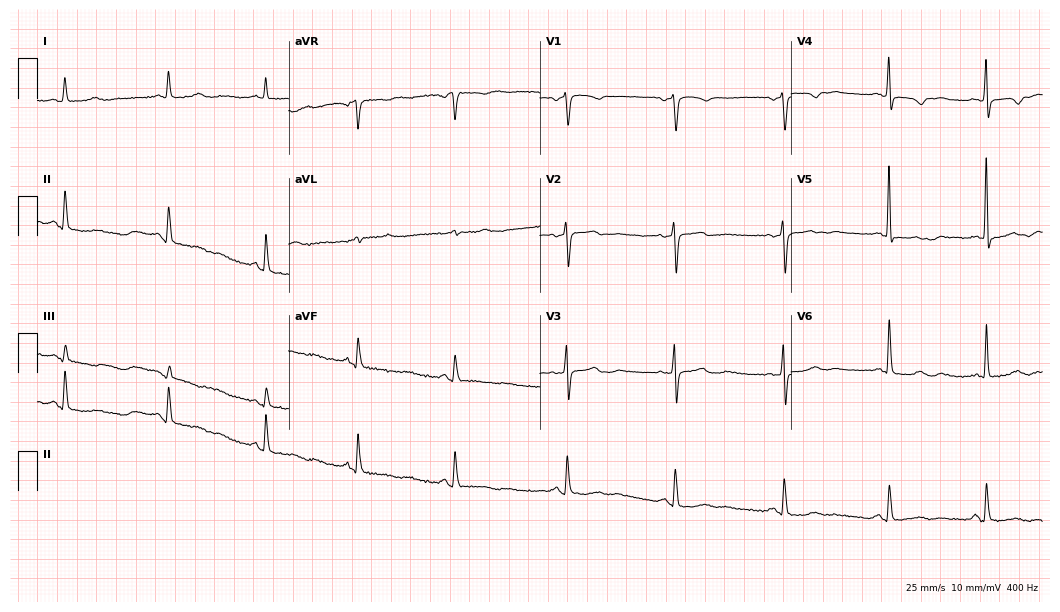
Electrocardiogram, an 83-year-old woman. Of the six screened findings (first-degree AV block, right bundle branch block (RBBB), left bundle branch block (LBBB), sinus bradycardia, atrial fibrillation (AF), sinus tachycardia), none is recorded.